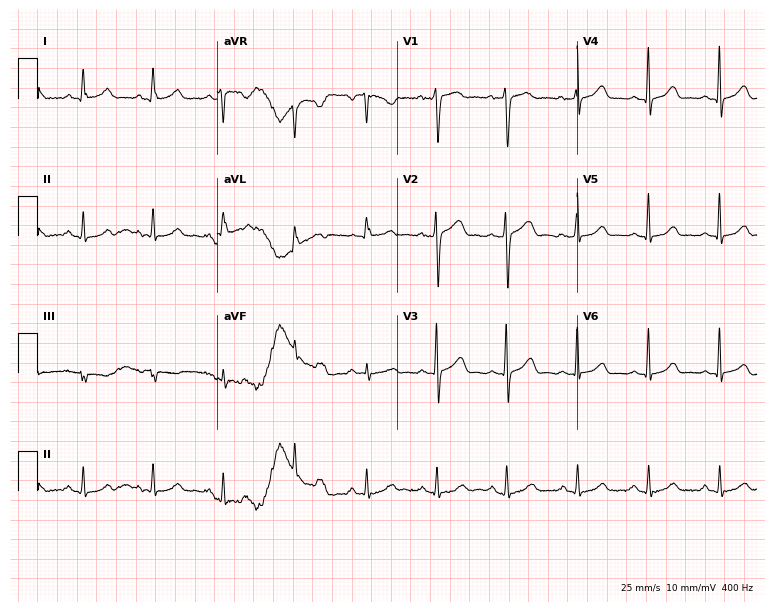
Resting 12-lead electrocardiogram. Patient: a 45-year-old female. None of these six findings is recorded: first-degree AV block, right bundle branch block, left bundle branch block, sinus bradycardia, atrial fibrillation, sinus tachycardia.